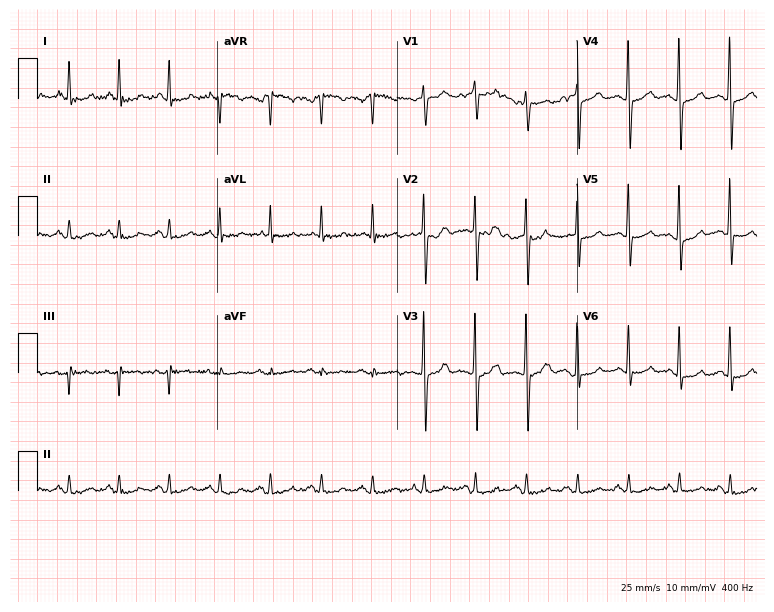
Resting 12-lead electrocardiogram (7.3-second recording at 400 Hz). Patient: a male, 56 years old. The tracing shows sinus tachycardia (a sinus rate of 100 beats per minute or more).